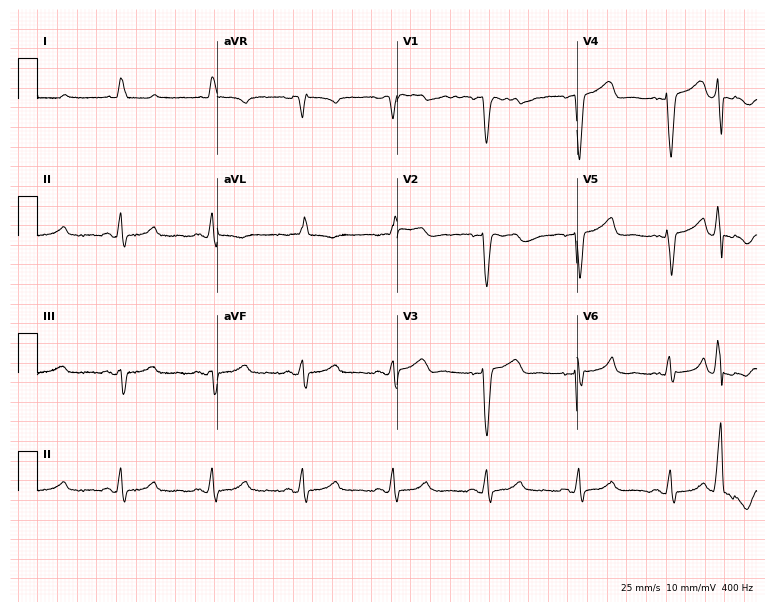
Resting 12-lead electrocardiogram. Patient: a woman, 79 years old. None of these six findings is recorded: first-degree AV block, right bundle branch block, left bundle branch block, sinus bradycardia, atrial fibrillation, sinus tachycardia.